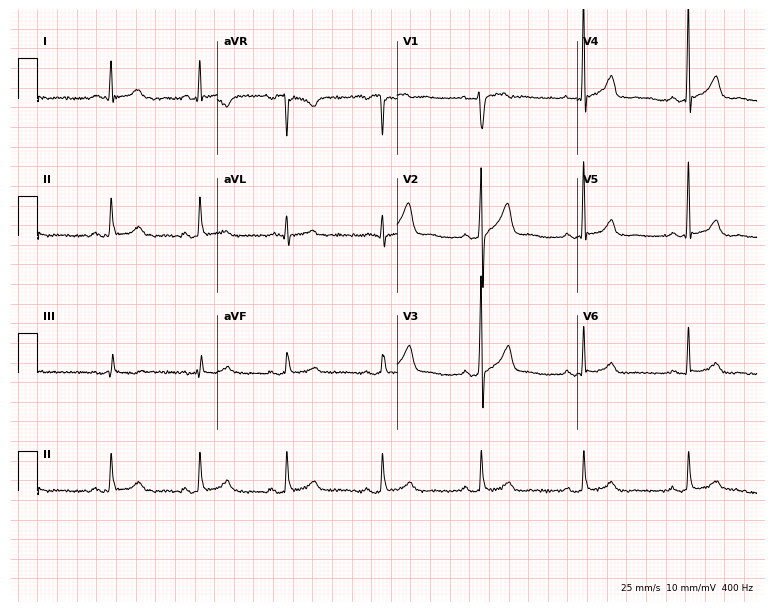
Resting 12-lead electrocardiogram (7.3-second recording at 400 Hz). Patient: a man, 46 years old. None of these six findings is recorded: first-degree AV block, right bundle branch block, left bundle branch block, sinus bradycardia, atrial fibrillation, sinus tachycardia. Findings outside these six are not listed.